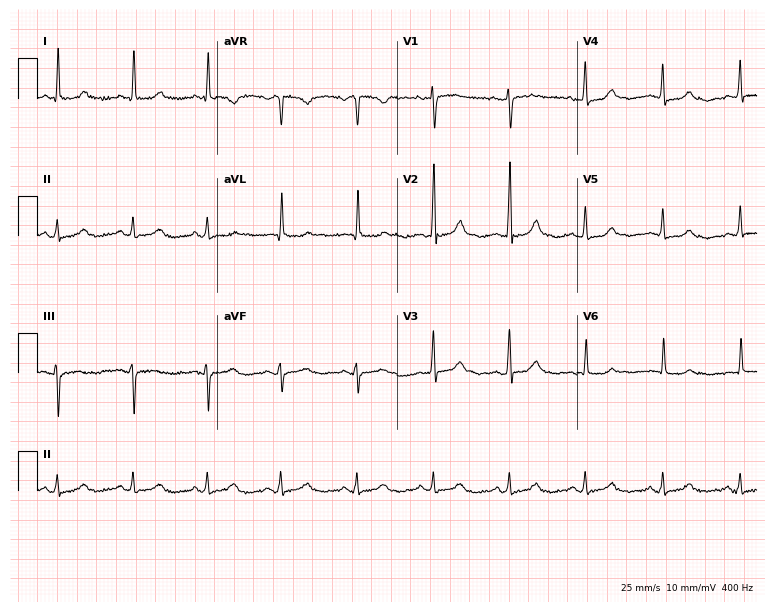
Electrocardiogram, a 71-year-old female. Of the six screened findings (first-degree AV block, right bundle branch block (RBBB), left bundle branch block (LBBB), sinus bradycardia, atrial fibrillation (AF), sinus tachycardia), none is recorded. Only these six findings were labelled.